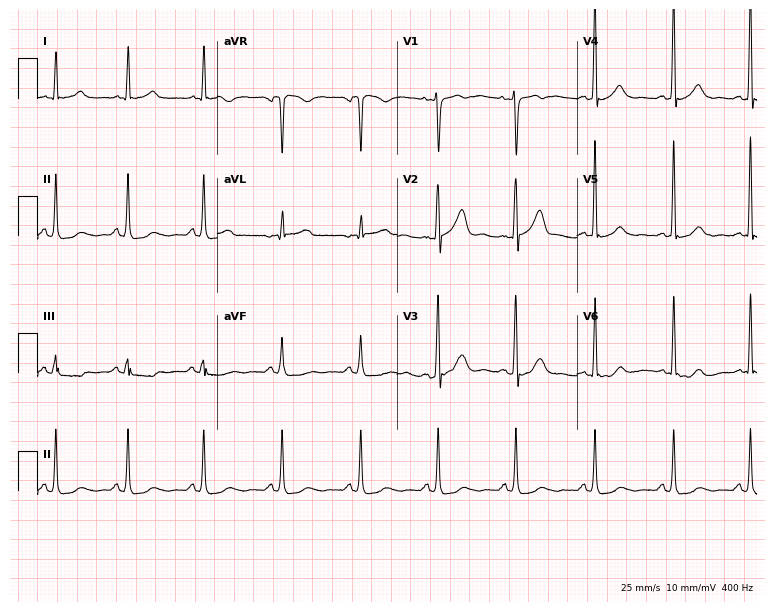
Resting 12-lead electrocardiogram (7.3-second recording at 400 Hz). Patient: a woman, 47 years old. Read as a normal ECG.